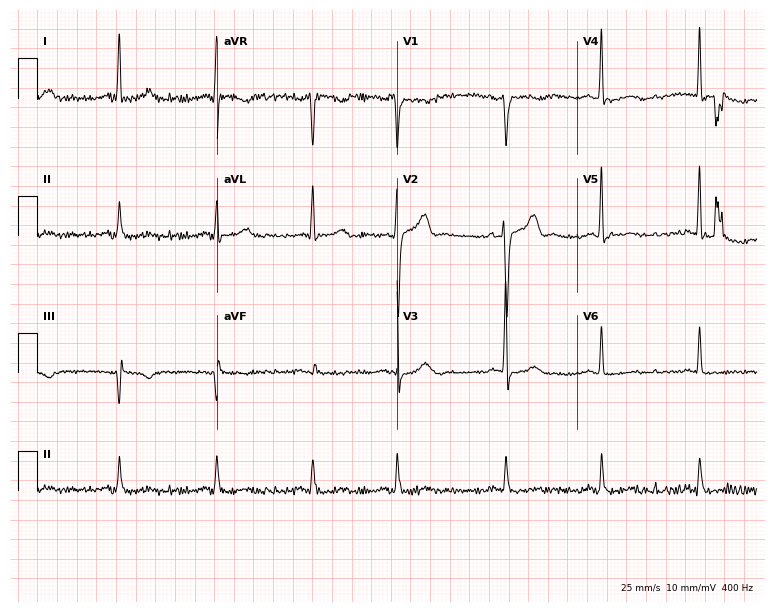
Resting 12-lead electrocardiogram (7.3-second recording at 400 Hz). Patient: a 75-year-old male. None of these six findings is recorded: first-degree AV block, right bundle branch block, left bundle branch block, sinus bradycardia, atrial fibrillation, sinus tachycardia.